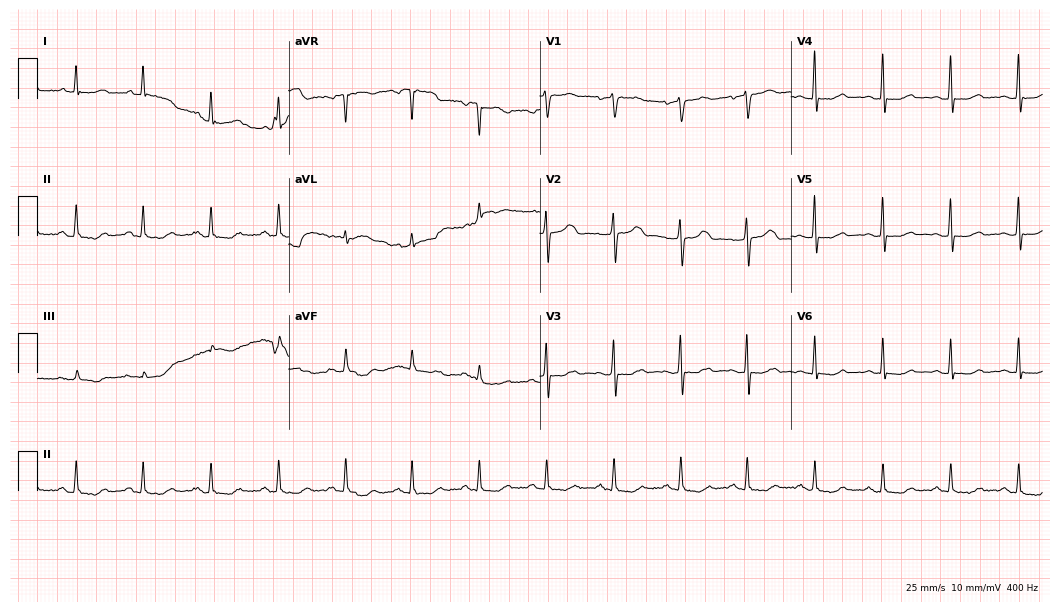
ECG — a female patient, 67 years old. Screened for six findings — first-degree AV block, right bundle branch block (RBBB), left bundle branch block (LBBB), sinus bradycardia, atrial fibrillation (AF), sinus tachycardia — none is recorded.